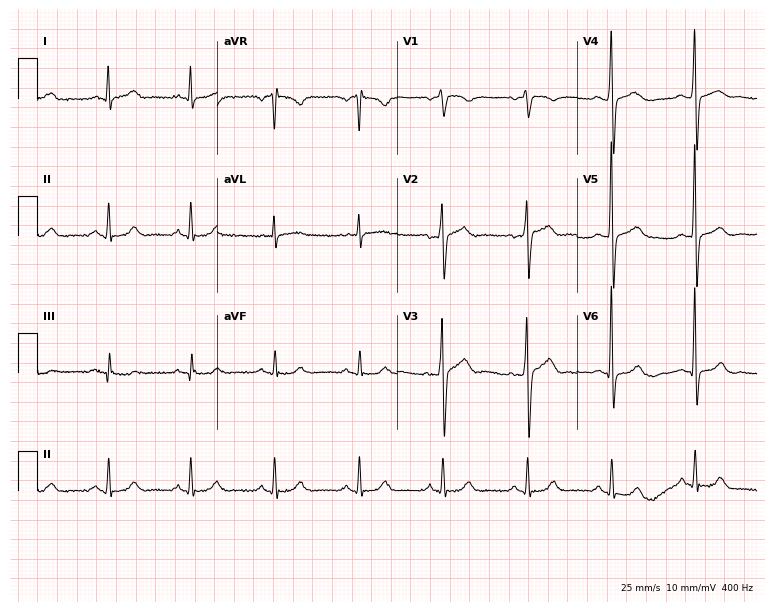
Standard 12-lead ECG recorded from a 49-year-old male patient (7.3-second recording at 400 Hz). Read as a normal ECG.